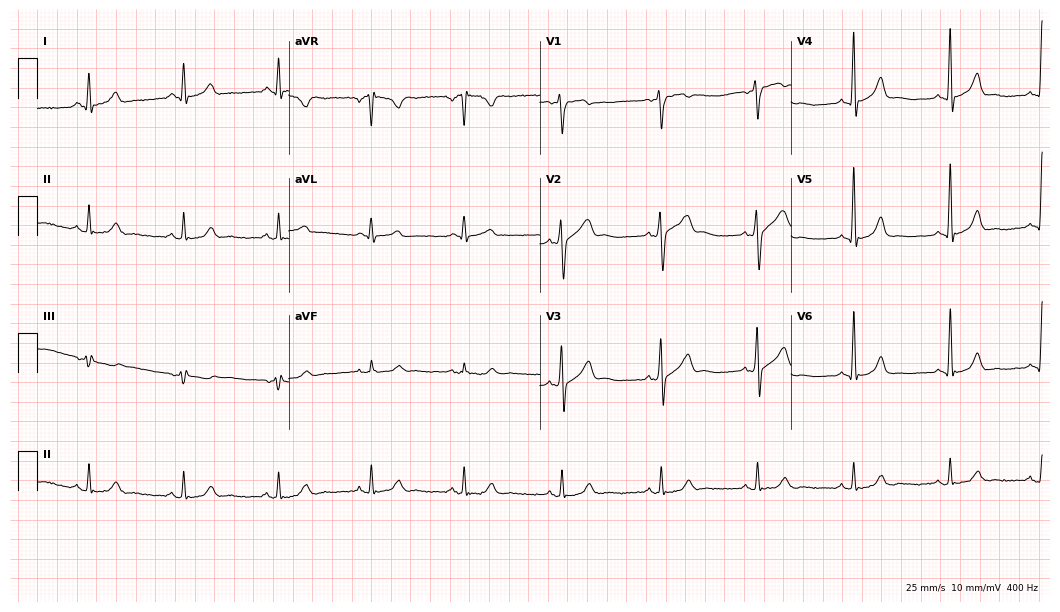
Resting 12-lead electrocardiogram. Patient: a 45-year-old man. Read as a normal ECG.